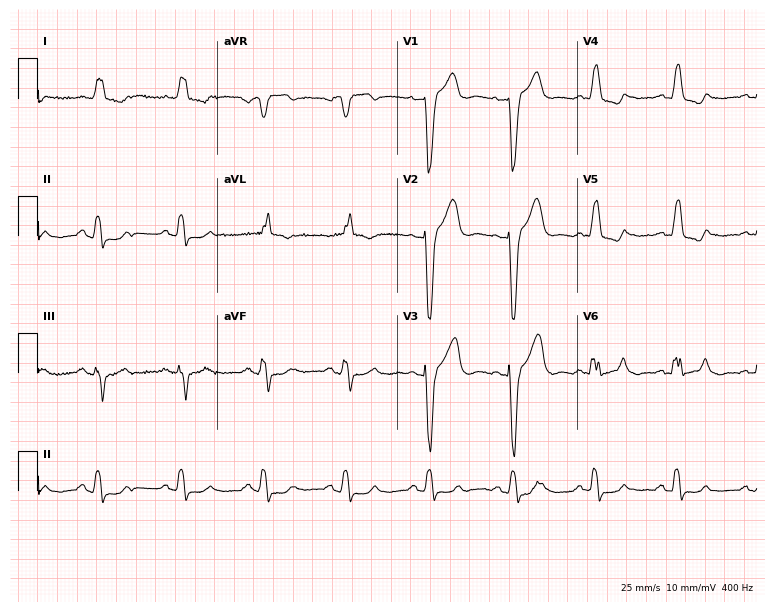
Standard 12-lead ECG recorded from a female patient, 43 years old. The tracing shows left bundle branch block.